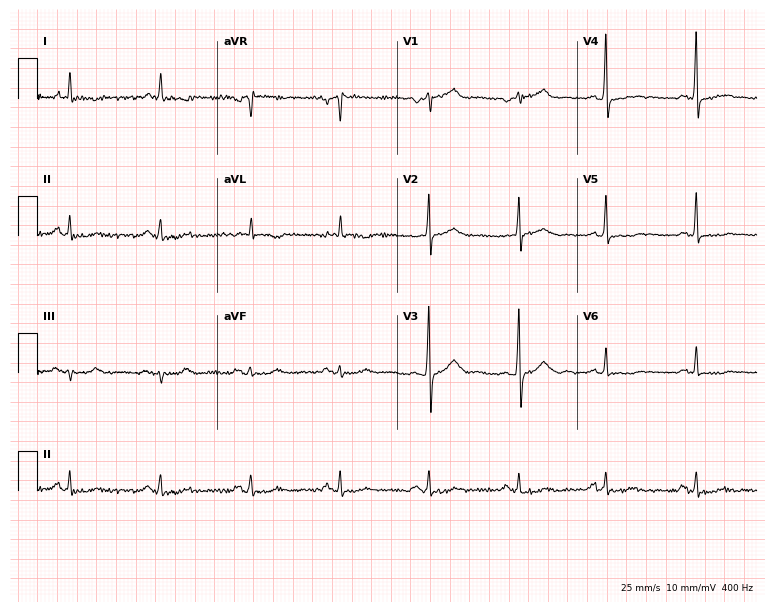
Electrocardiogram (7.3-second recording at 400 Hz), a man, 73 years old. Of the six screened findings (first-degree AV block, right bundle branch block (RBBB), left bundle branch block (LBBB), sinus bradycardia, atrial fibrillation (AF), sinus tachycardia), none is recorded. Other findings, if any, are not listed.